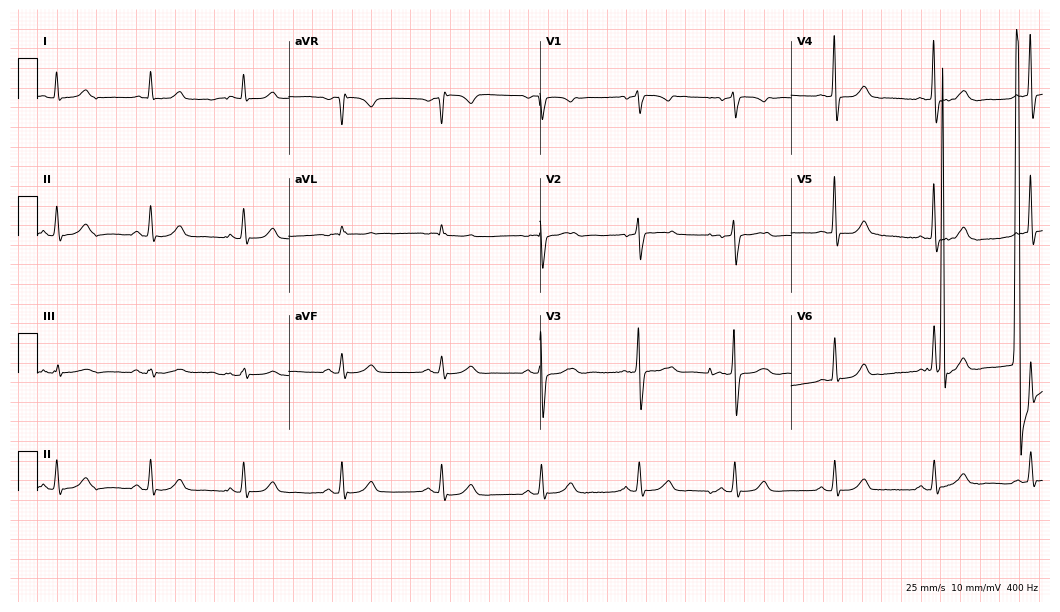
Standard 12-lead ECG recorded from a male, 63 years old. None of these six findings is recorded: first-degree AV block, right bundle branch block, left bundle branch block, sinus bradycardia, atrial fibrillation, sinus tachycardia.